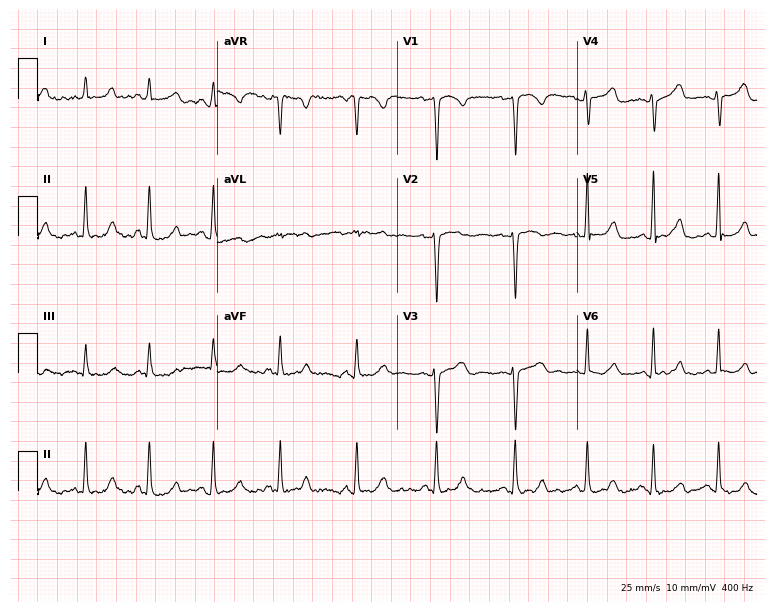
Standard 12-lead ECG recorded from a woman, 36 years old. None of these six findings is recorded: first-degree AV block, right bundle branch block (RBBB), left bundle branch block (LBBB), sinus bradycardia, atrial fibrillation (AF), sinus tachycardia.